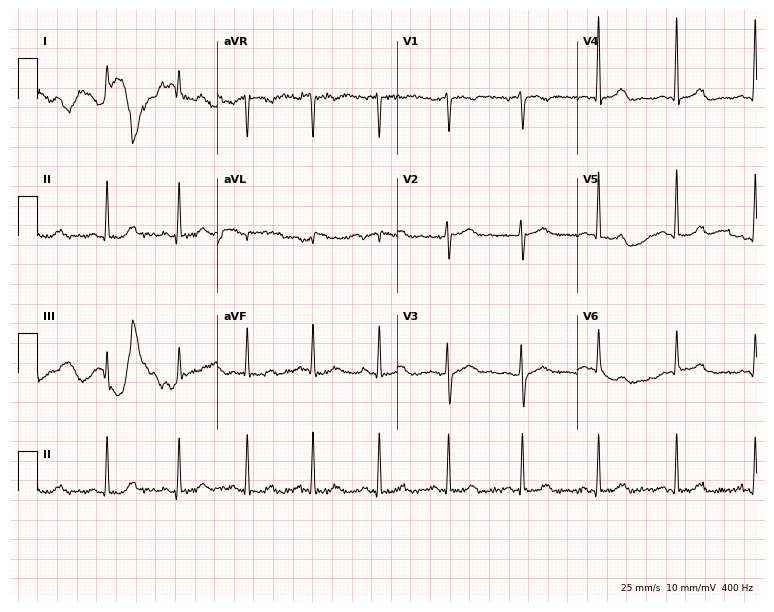
Standard 12-lead ECG recorded from a 47-year-old female patient. None of these six findings is recorded: first-degree AV block, right bundle branch block, left bundle branch block, sinus bradycardia, atrial fibrillation, sinus tachycardia. Other findings, if any, are not listed.